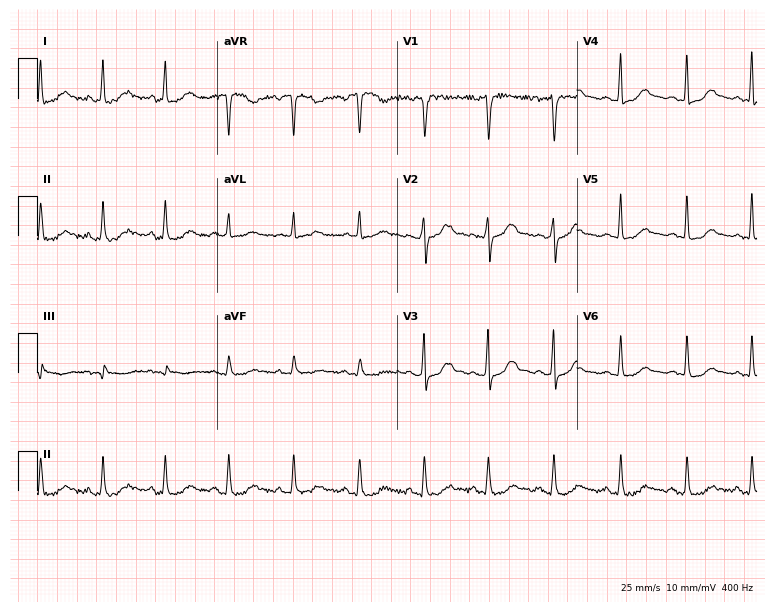
12-lead ECG from a 50-year-old female (7.3-second recording at 400 Hz). Recorded interpretation: within normal limits.